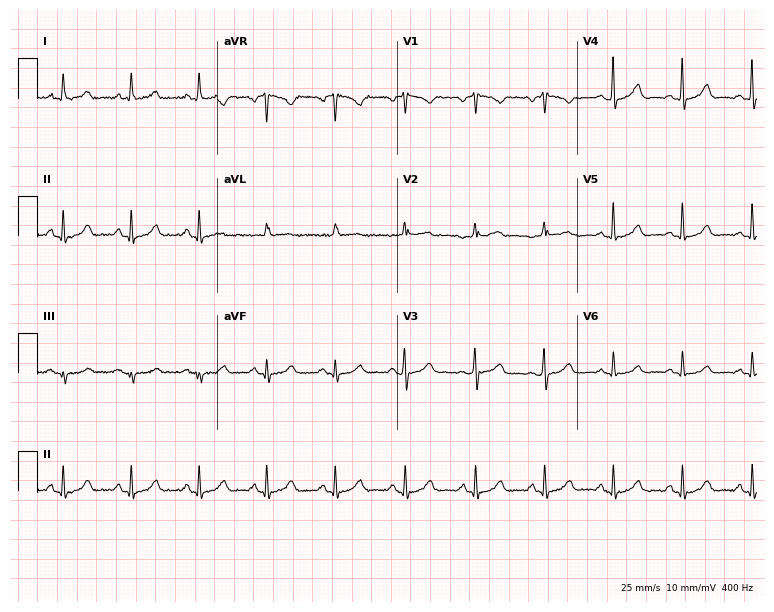
Resting 12-lead electrocardiogram. Patient: a female, 62 years old. Read as a normal ECG.